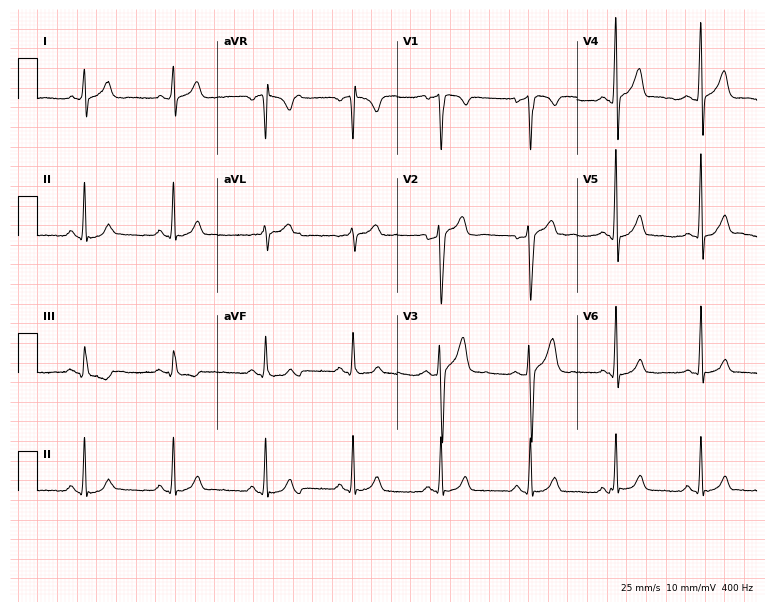
ECG — a 26-year-old male patient. Labelled as a normal ECG.